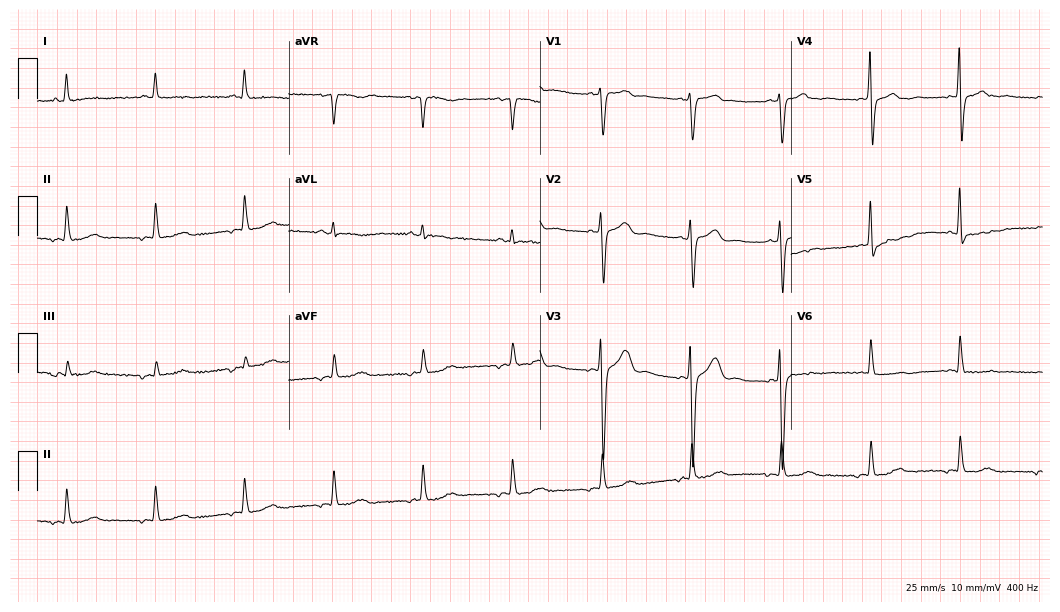
ECG (10.2-second recording at 400 Hz) — a 55-year-old male. Screened for six findings — first-degree AV block, right bundle branch block, left bundle branch block, sinus bradycardia, atrial fibrillation, sinus tachycardia — none is recorded. Other findings, if any, are not listed.